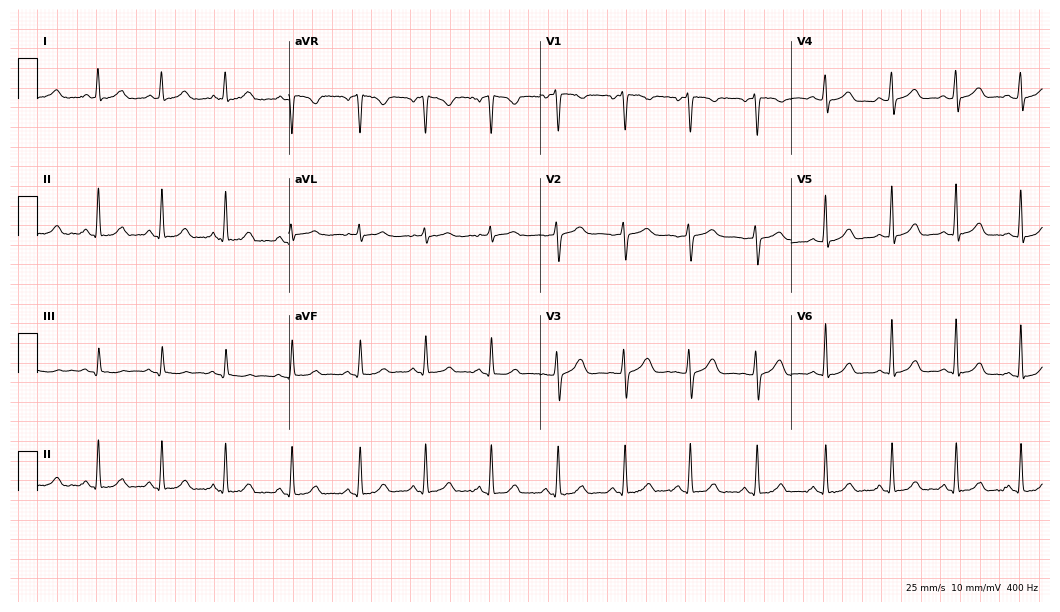
12-lead ECG from a 41-year-old woman (10.2-second recording at 400 Hz). Recorded interpretation: within normal limits.